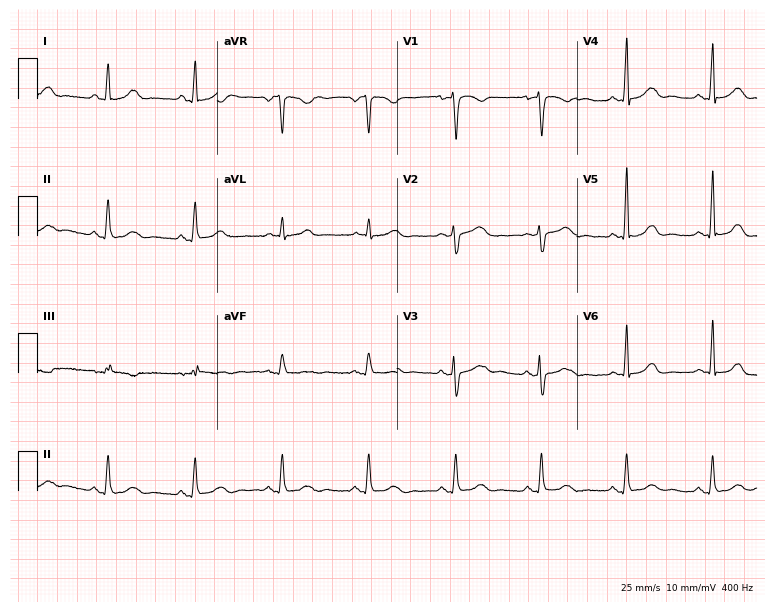
Electrocardiogram (7.3-second recording at 400 Hz), a 59-year-old woman. Overall reading on record: normal ECG.